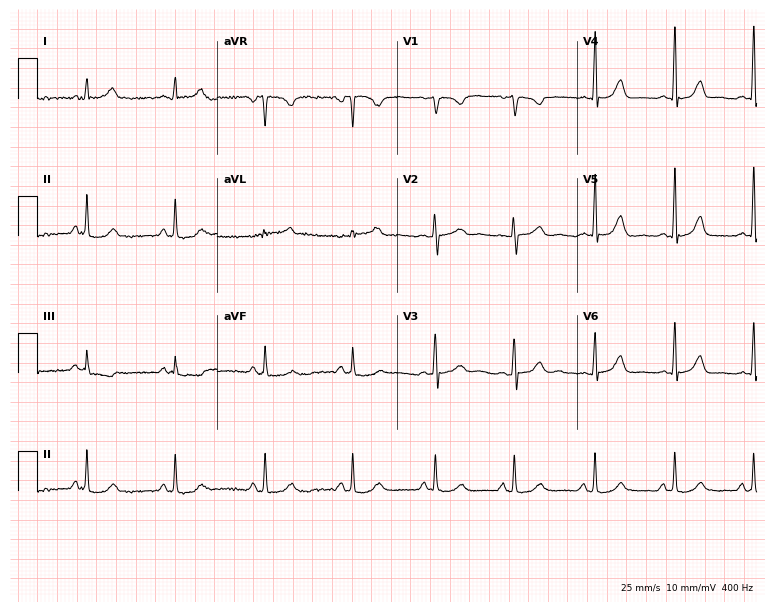
Standard 12-lead ECG recorded from a 39-year-old female. None of these six findings is recorded: first-degree AV block, right bundle branch block, left bundle branch block, sinus bradycardia, atrial fibrillation, sinus tachycardia.